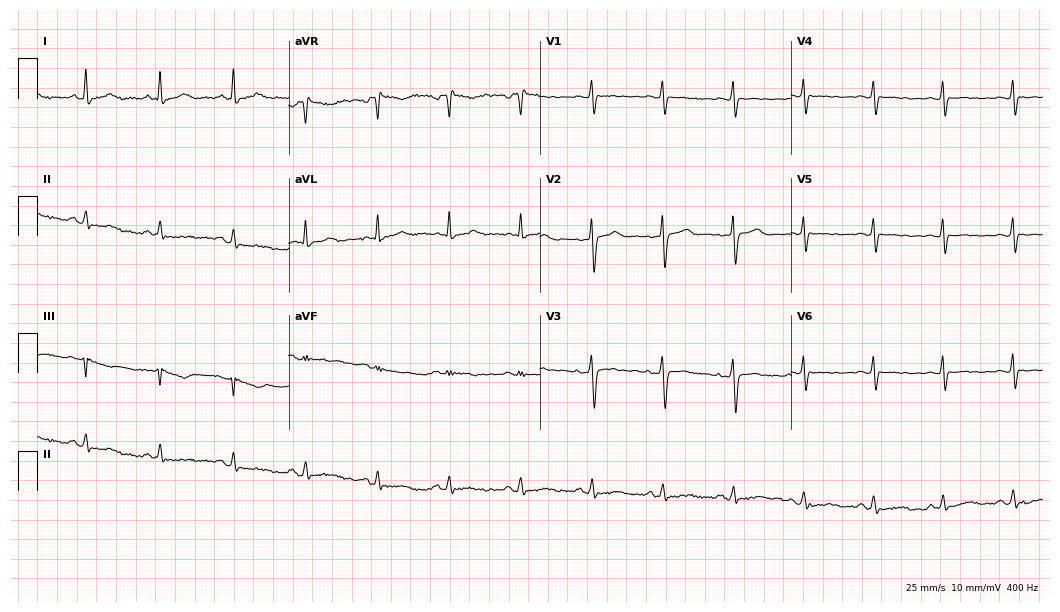
ECG (10.2-second recording at 400 Hz) — a female patient, 58 years old. Labelled as a normal ECG.